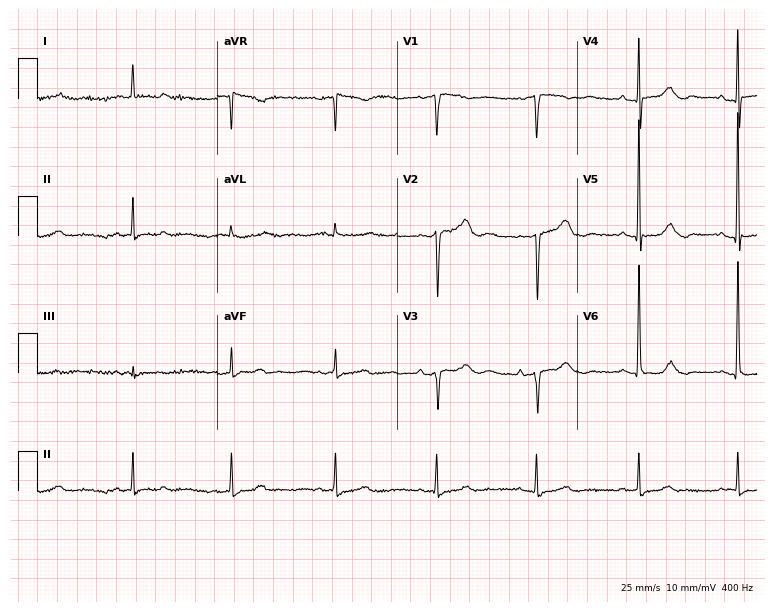
Standard 12-lead ECG recorded from a woman, 78 years old (7.3-second recording at 400 Hz). Read as a normal ECG.